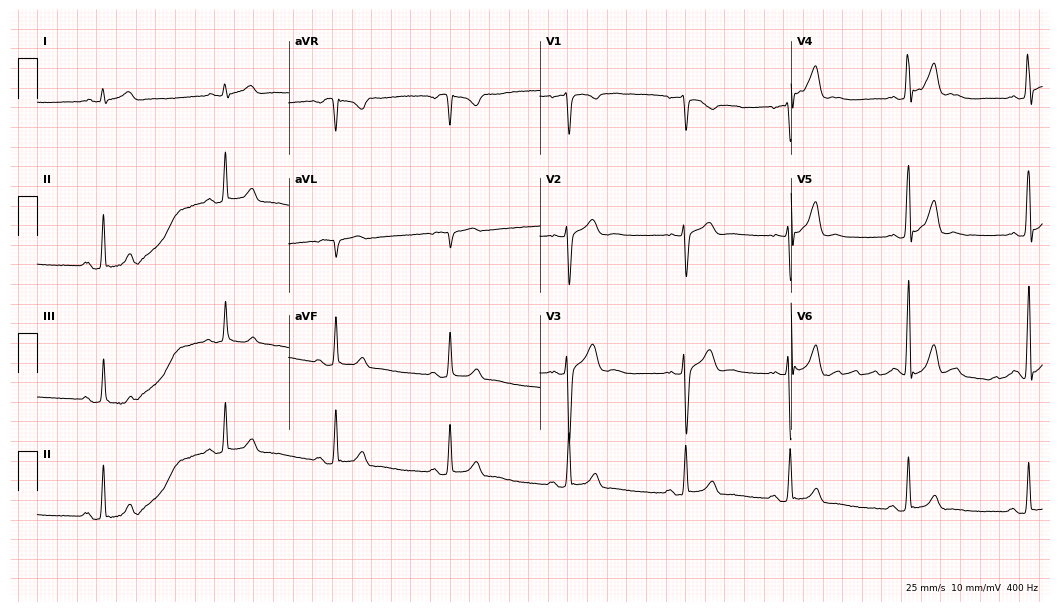
12-lead ECG from a 28-year-old male patient. Labelled as a normal ECG.